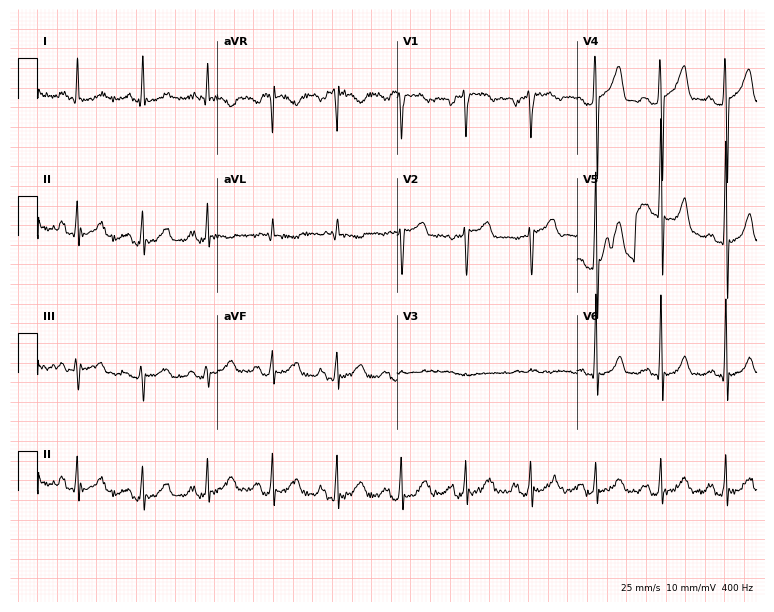
12-lead ECG from a 74-year-old man. No first-degree AV block, right bundle branch block, left bundle branch block, sinus bradycardia, atrial fibrillation or sinus tachycardia recorded for this tracing.